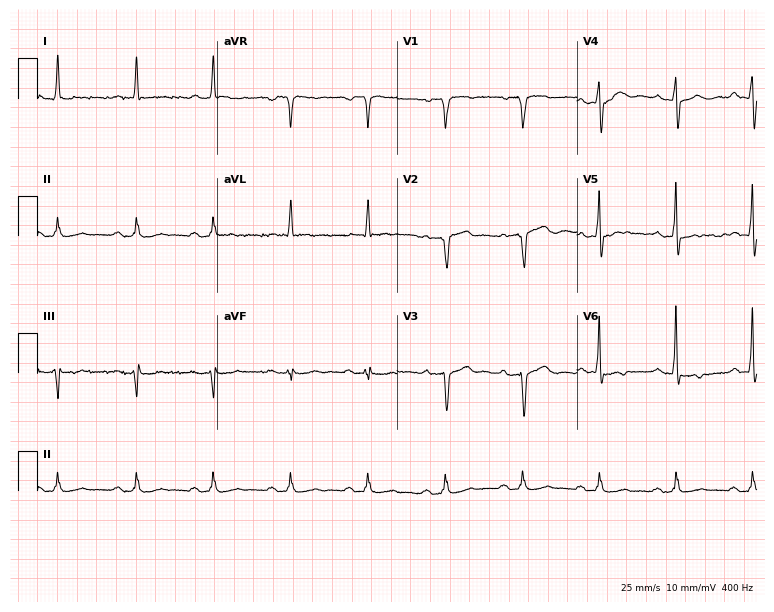
Electrocardiogram, a 73-year-old male. Of the six screened findings (first-degree AV block, right bundle branch block (RBBB), left bundle branch block (LBBB), sinus bradycardia, atrial fibrillation (AF), sinus tachycardia), none is recorded.